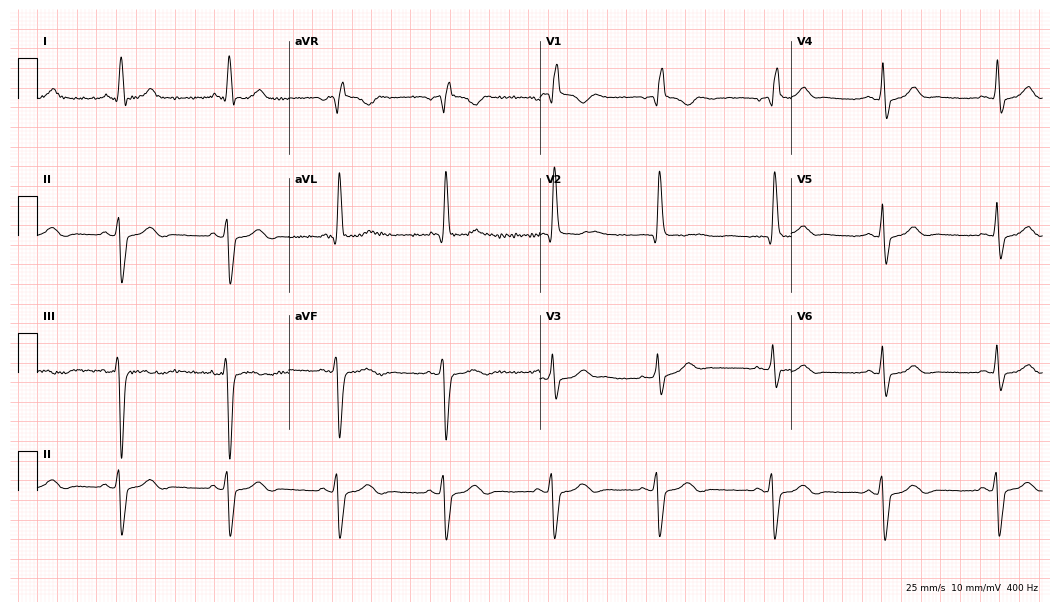
12-lead ECG from a female, 75 years old (10.2-second recording at 400 Hz). Shows right bundle branch block.